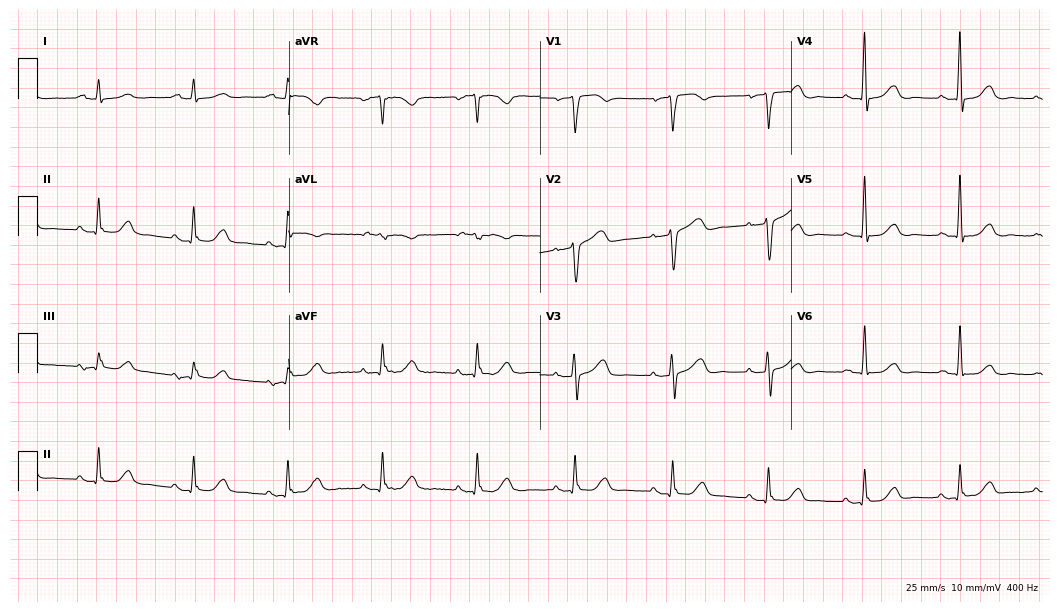
12-lead ECG from a woman, 82 years old. Labelled as a normal ECG.